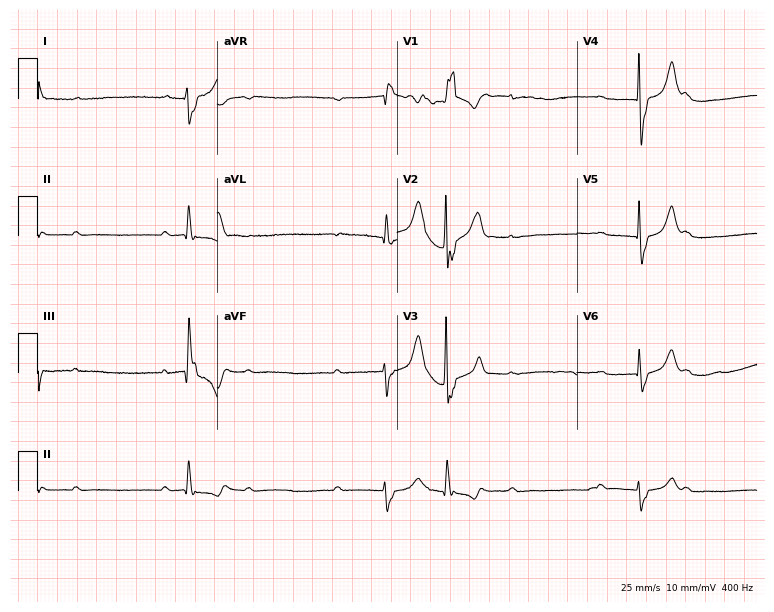
12-lead ECG from a 65-year-old man. No first-degree AV block, right bundle branch block (RBBB), left bundle branch block (LBBB), sinus bradycardia, atrial fibrillation (AF) or sinus tachycardia recorded for this tracing.